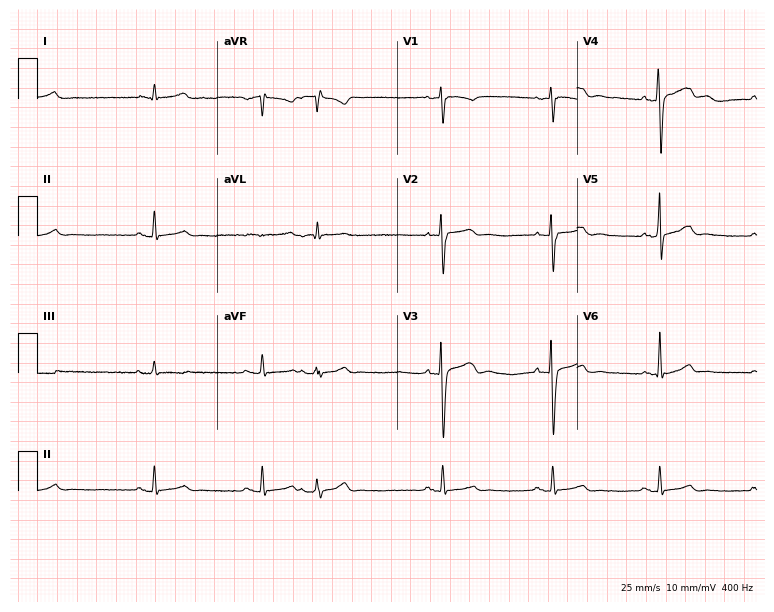
Standard 12-lead ECG recorded from a 56-year-old male (7.3-second recording at 400 Hz). None of these six findings is recorded: first-degree AV block, right bundle branch block (RBBB), left bundle branch block (LBBB), sinus bradycardia, atrial fibrillation (AF), sinus tachycardia.